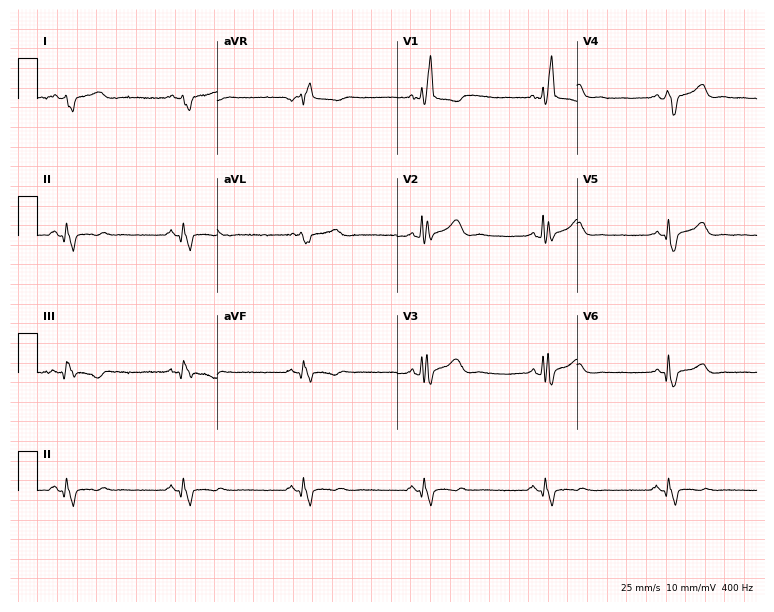
Electrocardiogram (7.3-second recording at 400 Hz), a 38-year-old male. Interpretation includes right bundle branch block, sinus bradycardia (a sinus rate of 50 beats per minute or less).